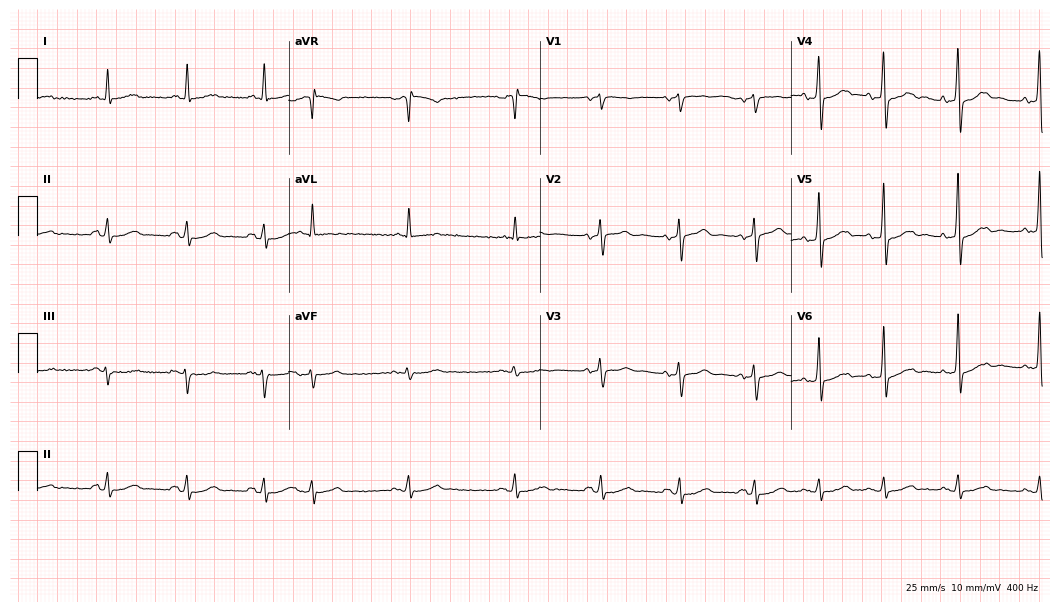
Standard 12-lead ECG recorded from a 68-year-old male. None of these six findings is recorded: first-degree AV block, right bundle branch block, left bundle branch block, sinus bradycardia, atrial fibrillation, sinus tachycardia.